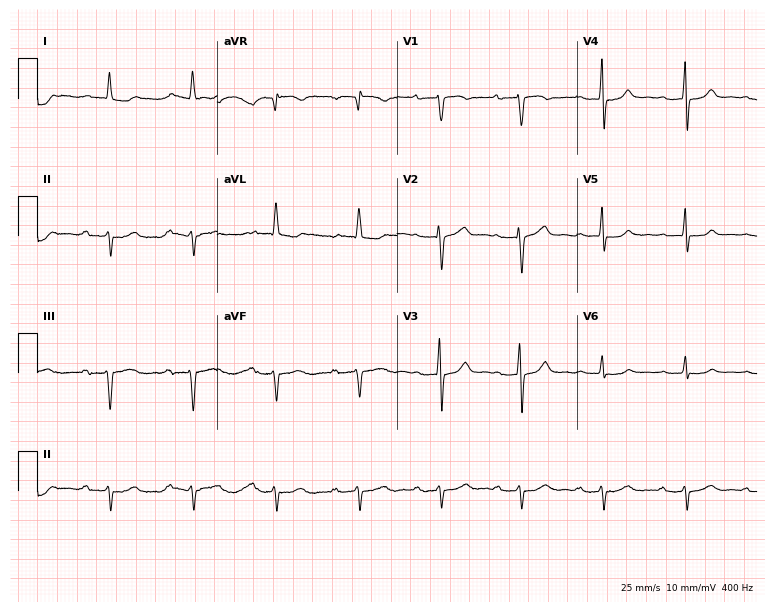
12-lead ECG from an 86-year-old female (7.3-second recording at 400 Hz). Shows first-degree AV block.